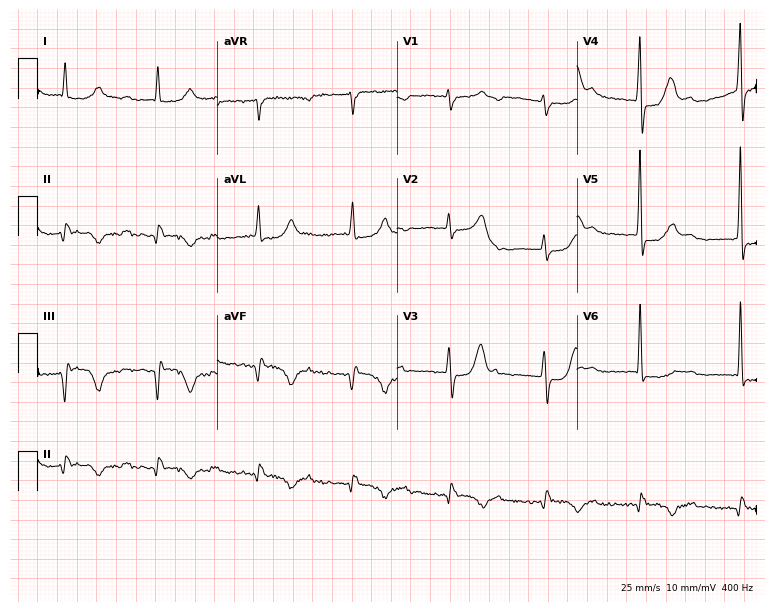
Electrocardiogram (7.3-second recording at 400 Hz), a 69-year-old man. Interpretation includes first-degree AV block.